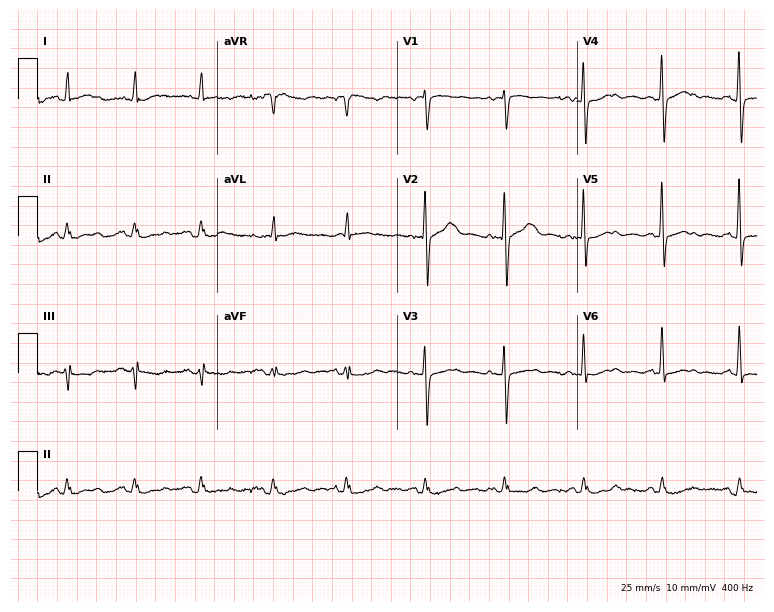
12-lead ECG from a female, 76 years old. Screened for six findings — first-degree AV block, right bundle branch block, left bundle branch block, sinus bradycardia, atrial fibrillation, sinus tachycardia — none is recorded. Findings outside these six are not listed.